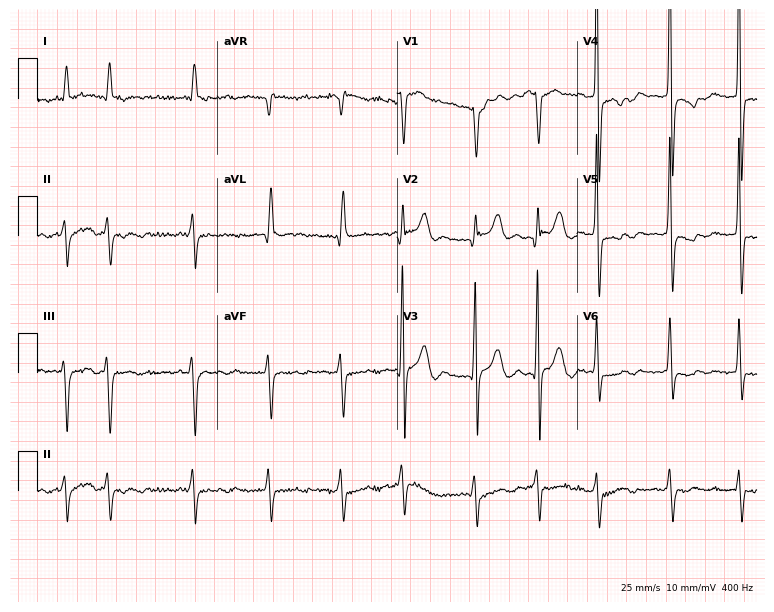
Resting 12-lead electrocardiogram. Patient: an 80-year-old male. The tracing shows atrial fibrillation.